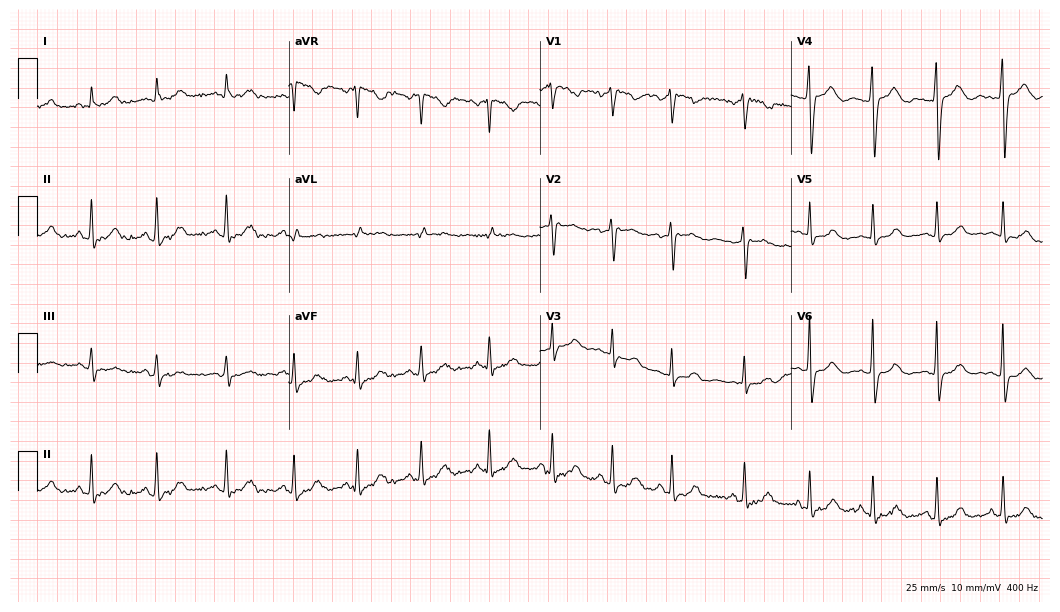
12-lead ECG from a female, 32 years old (10.2-second recording at 400 Hz). No first-degree AV block, right bundle branch block, left bundle branch block, sinus bradycardia, atrial fibrillation or sinus tachycardia recorded for this tracing. Only these six findings were labelled.